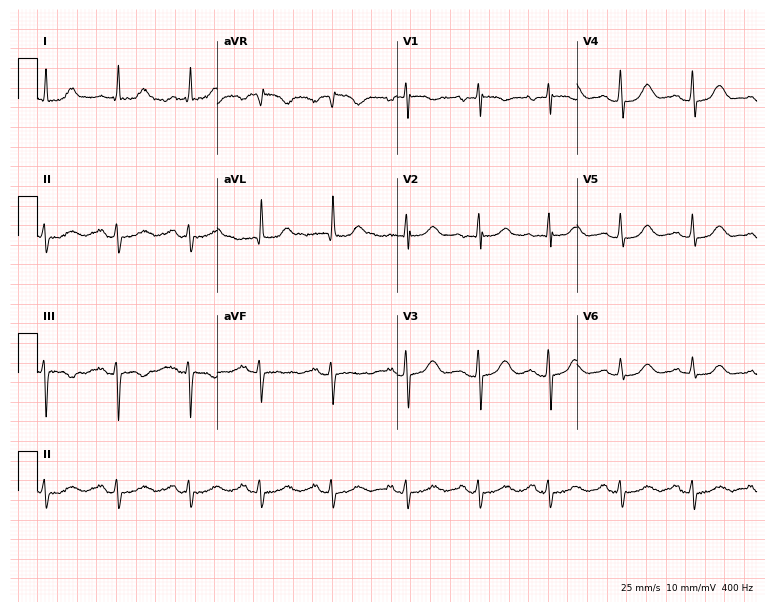
ECG (7.3-second recording at 400 Hz) — a 63-year-old female. Screened for six findings — first-degree AV block, right bundle branch block, left bundle branch block, sinus bradycardia, atrial fibrillation, sinus tachycardia — none is recorded.